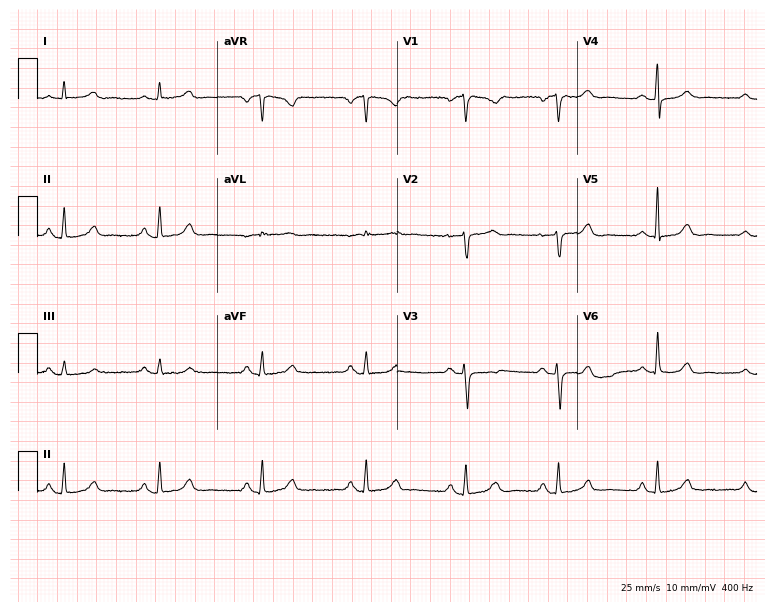
Electrocardiogram (7.3-second recording at 400 Hz), a 57-year-old woman. Overall reading on record: normal ECG.